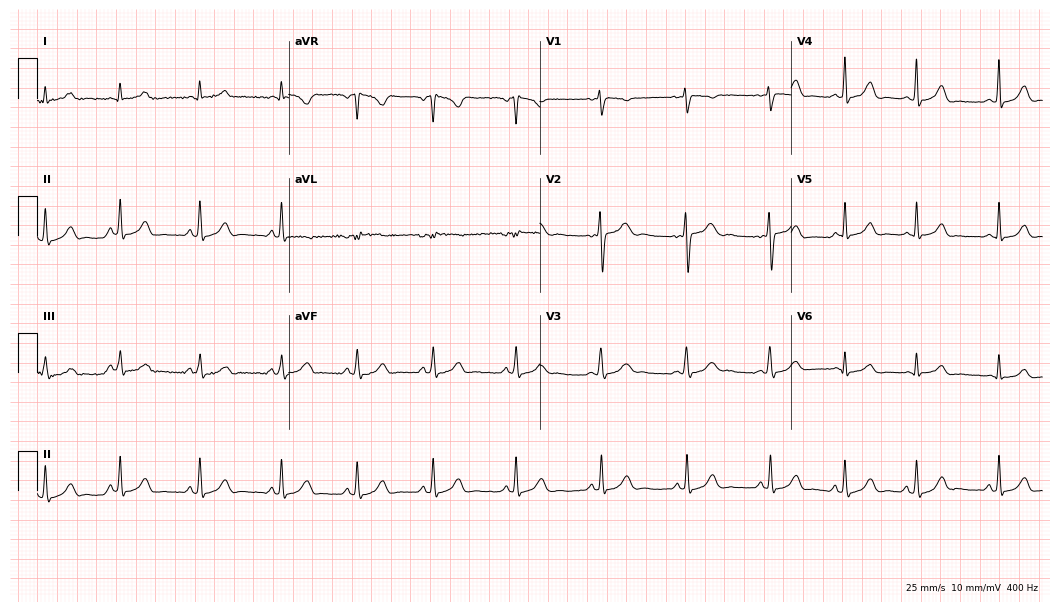
Resting 12-lead electrocardiogram. Patient: a female, 19 years old. Read as a normal ECG.